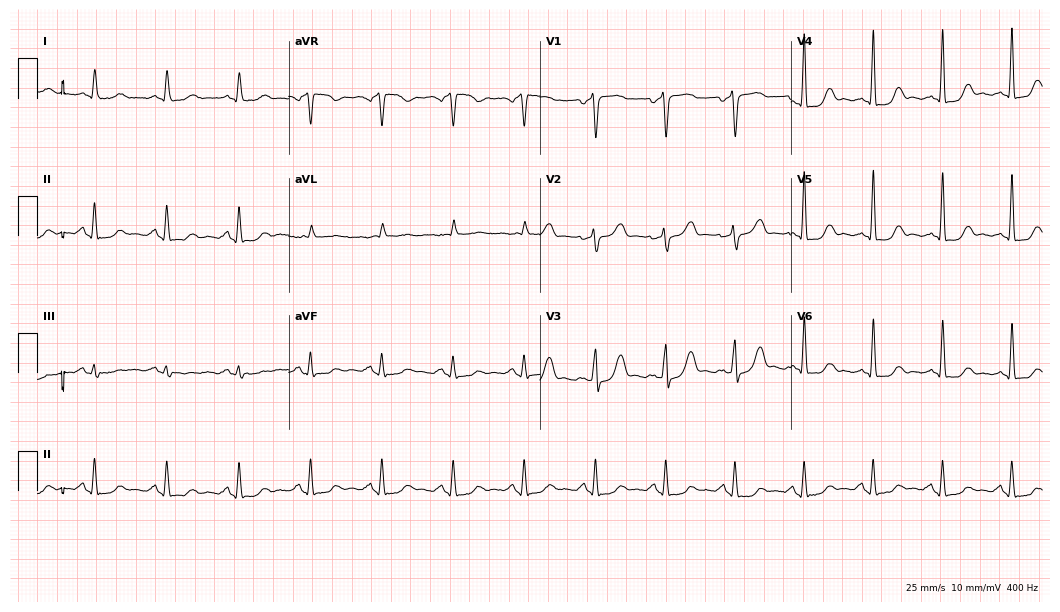
Resting 12-lead electrocardiogram. Patient: a 69-year-old male. None of these six findings is recorded: first-degree AV block, right bundle branch block (RBBB), left bundle branch block (LBBB), sinus bradycardia, atrial fibrillation (AF), sinus tachycardia. Only these six findings were labelled.